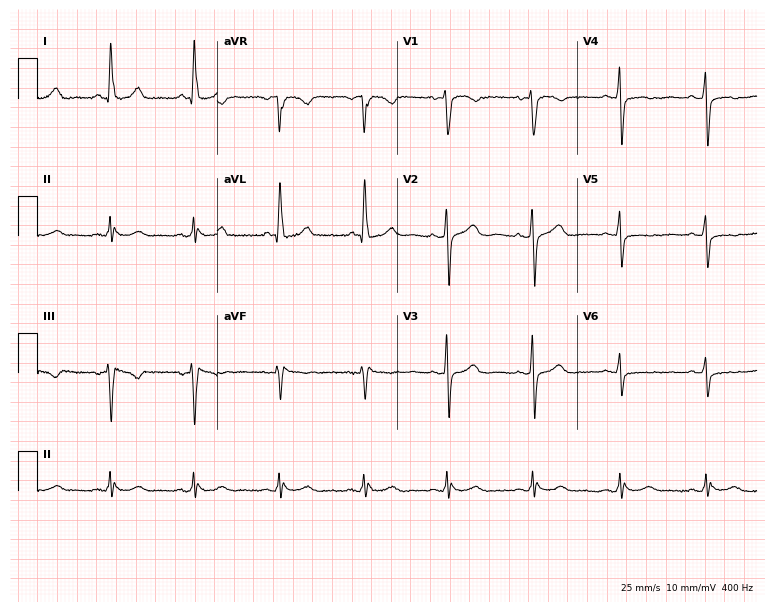
12-lead ECG from a 72-year-old female patient (7.3-second recording at 400 Hz). No first-degree AV block, right bundle branch block, left bundle branch block, sinus bradycardia, atrial fibrillation or sinus tachycardia recorded for this tracing. Findings outside these six are not listed.